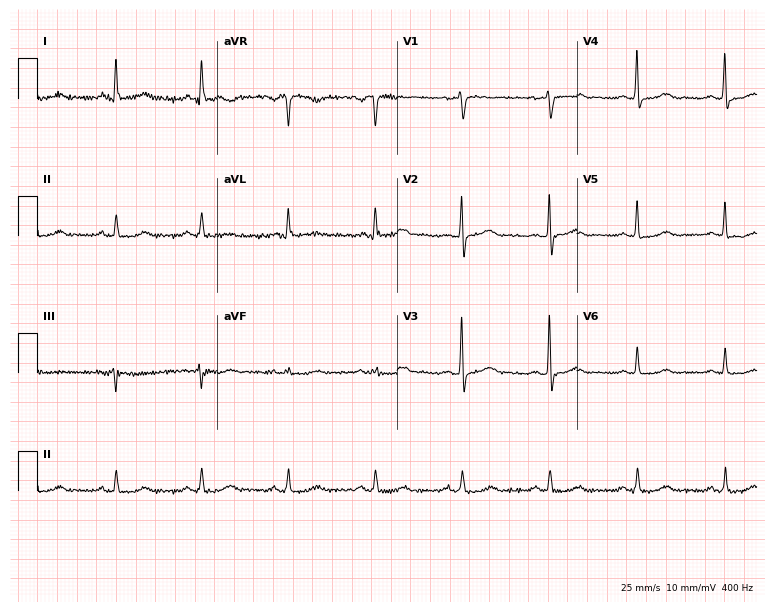
12-lead ECG from a 61-year-old female patient. Screened for six findings — first-degree AV block, right bundle branch block (RBBB), left bundle branch block (LBBB), sinus bradycardia, atrial fibrillation (AF), sinus tachycardia — none is recorded. Findings outside these six are not listed.